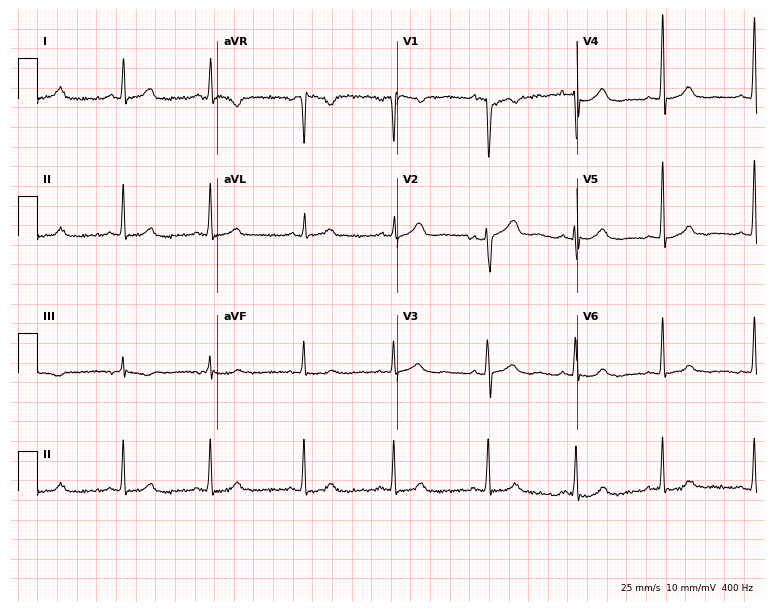
Electrocardiogram (7.3-second recording at 400 Hz), a 36-year-old woman. Overall reading on record: normal ECG.